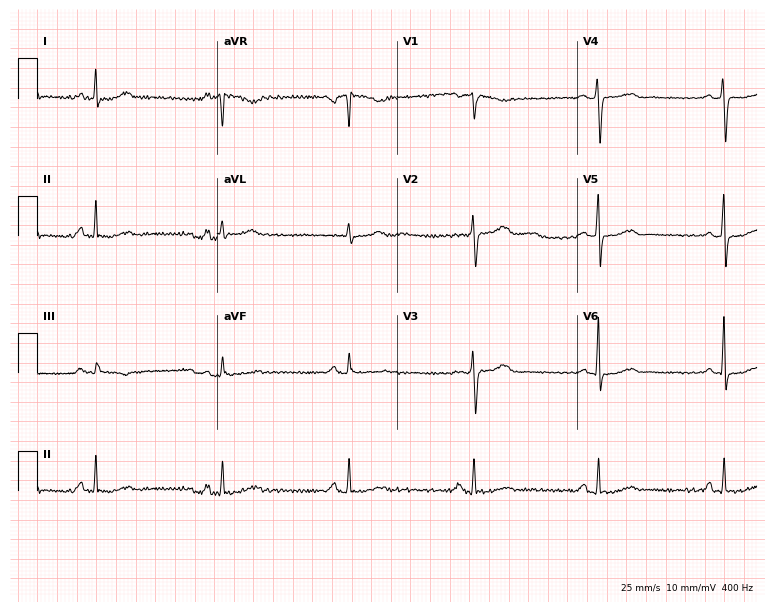
Electrocardiogram (7.3-second recording at 400 Hz), a female patient, 59 years old. Interpretation includes sinus bradycardia (a sinus rate of 50 beats per minute or less).